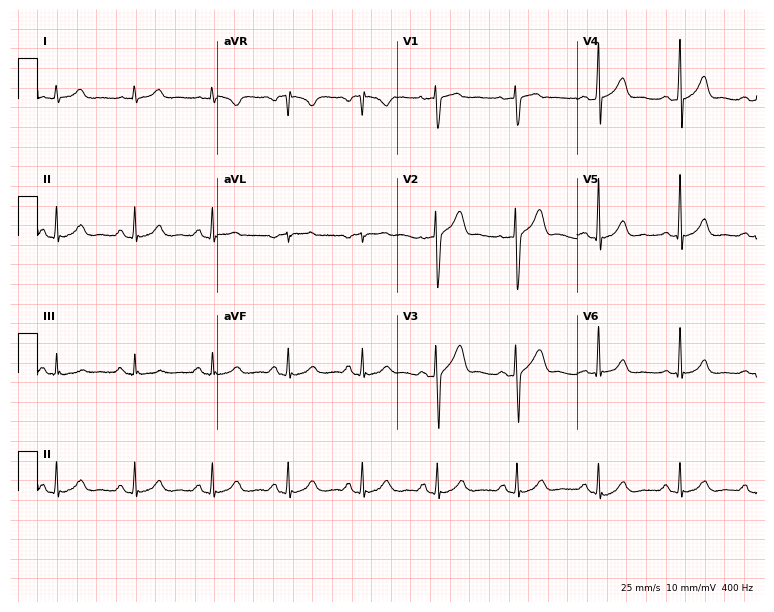
12-lead ECG (7.3-second recording at 400 Hz) from a man, 24 years old. Screened for six findings — first-degree AV block, right bundle branch block, left bundle branch block, sinus bradycardia, atrial fibrillation, sinus tachycardia — none is recorded.